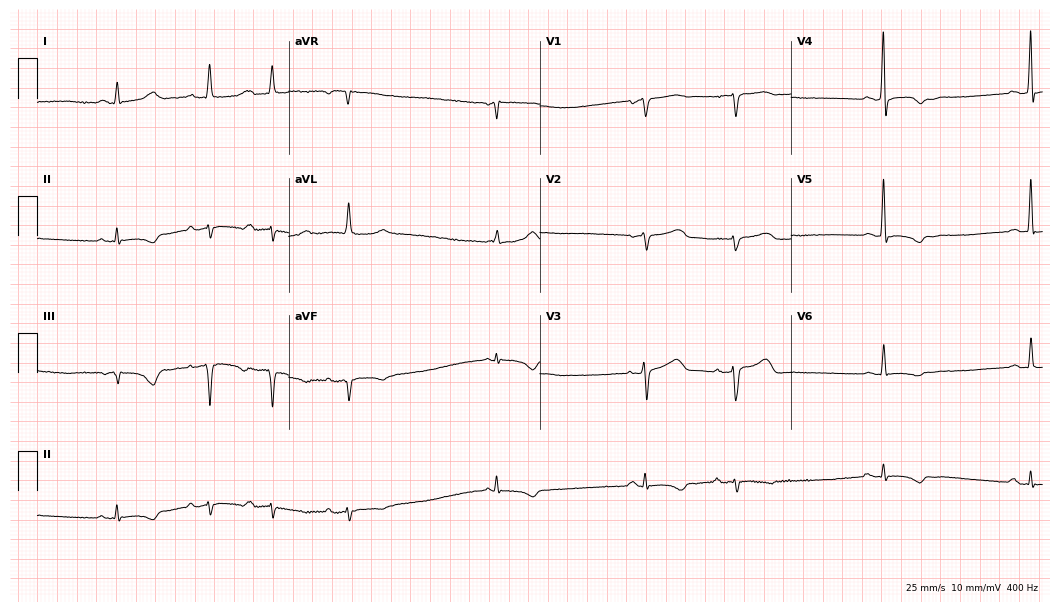
12-lead ECG from a 70-year-old woman. No first-degree AV block, right bundle branch block, left bundle branch block, sinus bradycardia, atrial fibrillation or sinus tachycardia recorded for this tracing. Only these six findings were labelled.